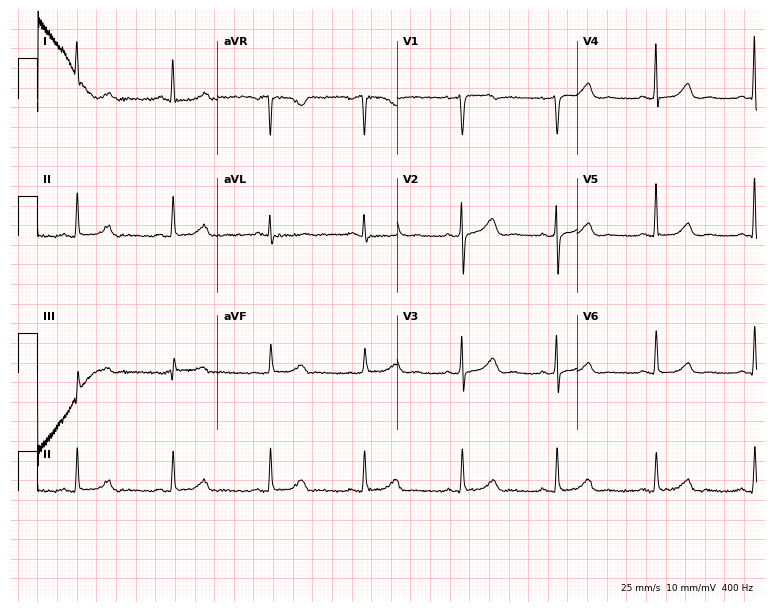
Electrocardiogram, a 64-year-old female. Overall reading on record: normal ECG.